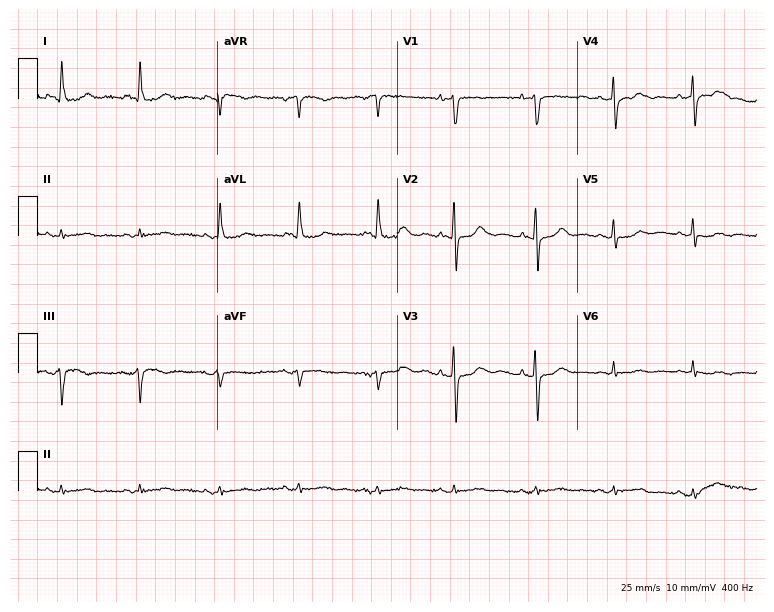
Resting 12-lead electrocardiogram. Patient: an 80-year-old female. None of these six findings is recorded: first-degree AV block, right bundle branch block, left bundle branch block, sinus bradycardia, atrial fibrillation, sinus tachycardia.